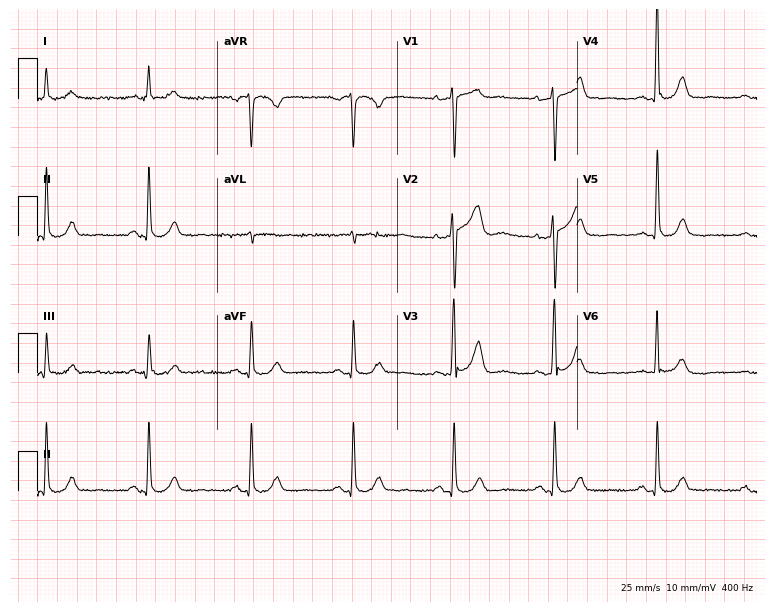
12-lead ECG from a man, 64 years old. Labelled as a normal ECG.